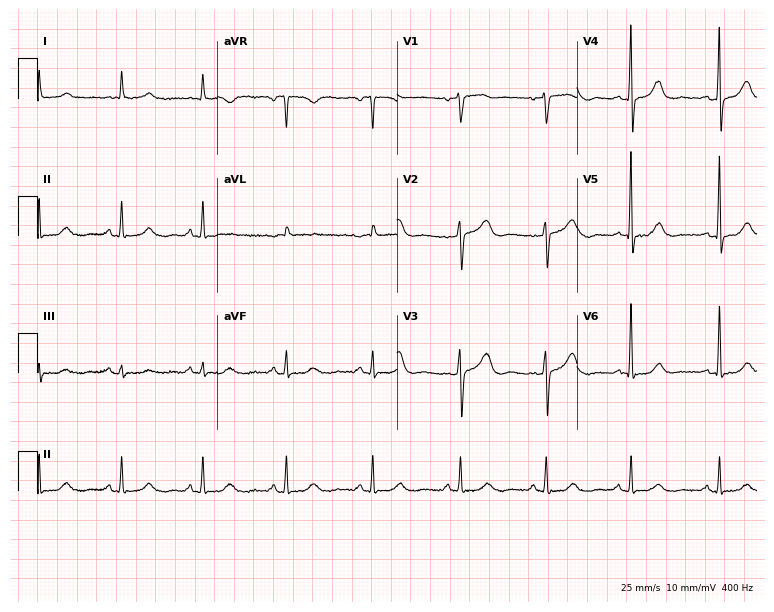
12-lead ECG from a 67-year-old female. Labelled as a normal ECG.